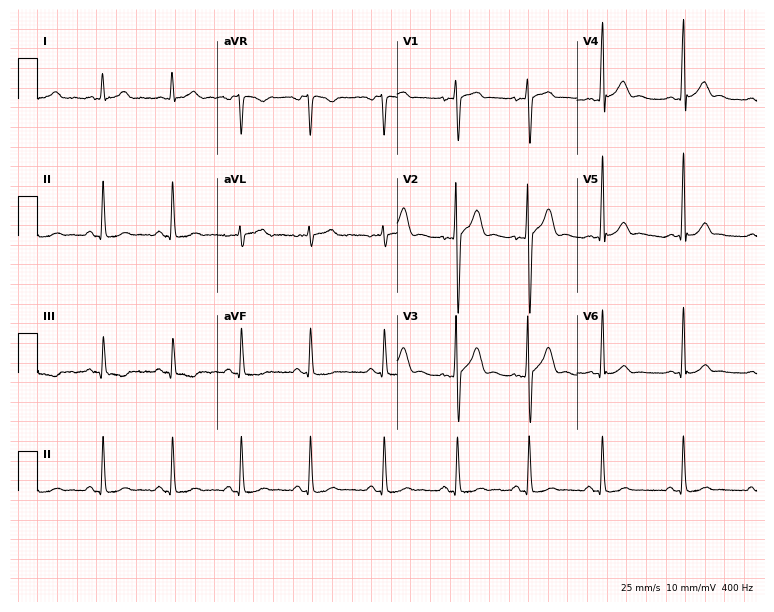
ECG — a 20-year-old male. Screened for six findings — first-degree AV block, right bundle branch block (RBBB), left bundle branch block (LBBB), sinus bradycardia, atrial fibrillation (AF), sinus tachycardia — none is recorded.